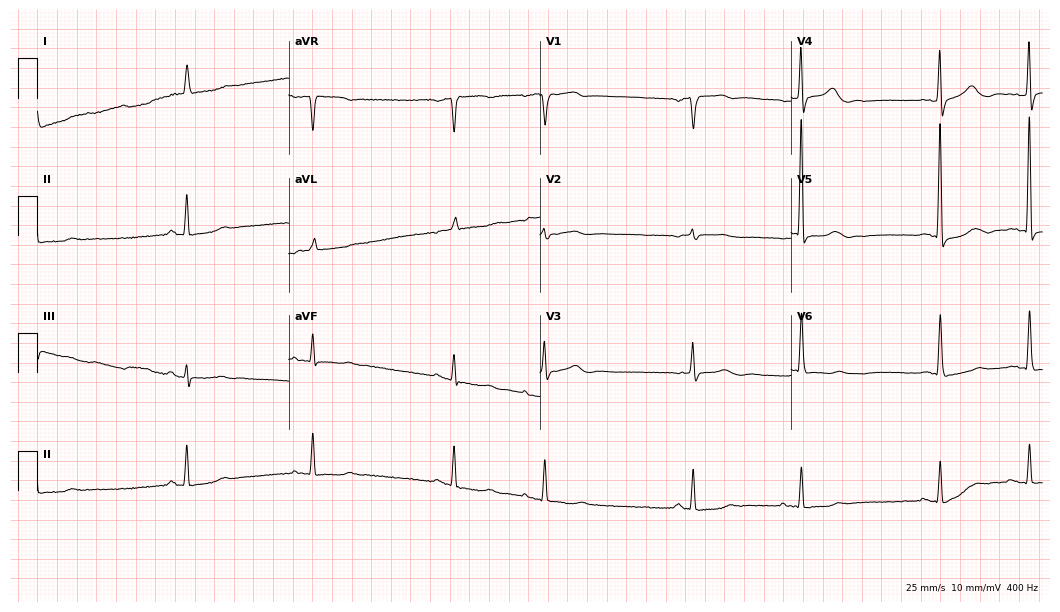
Resting 12-lead electrocardiogram (10.2-second recording at 400 Hz). Patient: a female, 85 years old. None of these six findings is recorded: first-degree AV block, right bundle branch block (RBBB), left bundle branch block (LBBB), sinus bradycardia, atrial fibrillation (AF), sinus tachycardia.